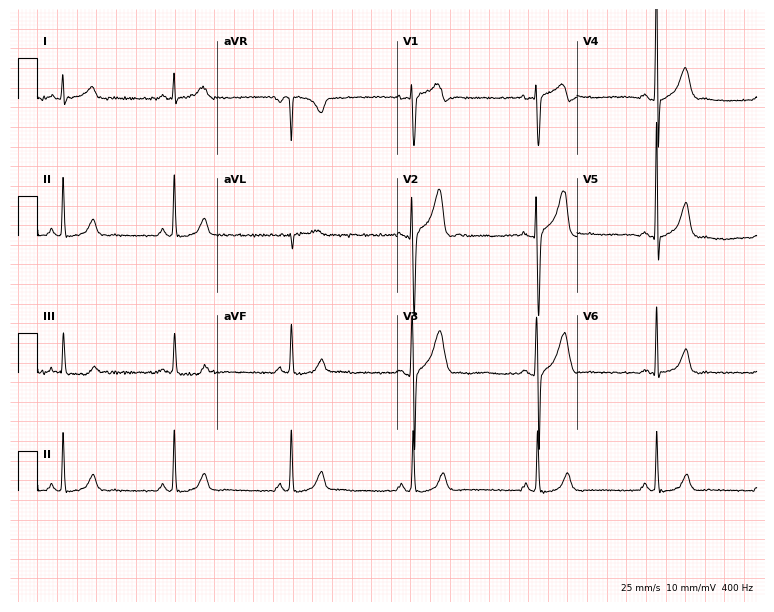
Standard 12-lead ECG recorded from a 31-year-old male patient. None of these six findings is recorded: first-degree AV block, right bundle branch block, left bundle branch block, sinus bradycardia, atrial fibrillation, sinus tachycardia.